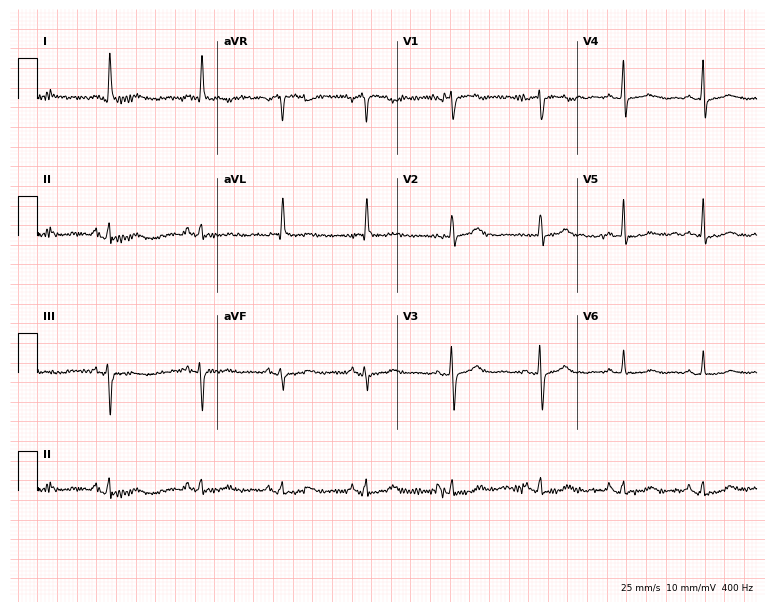
Electrocardiogram, a 73-year-old female. Of the six screened findings (first-degree AV block, right bundle branch block (RBBB), left bundle branch block (LBBB), sinus bradycardia, atrial fibrillation (AF), sinus tachycardia), none is recorded. Findings outside these six are not listed.